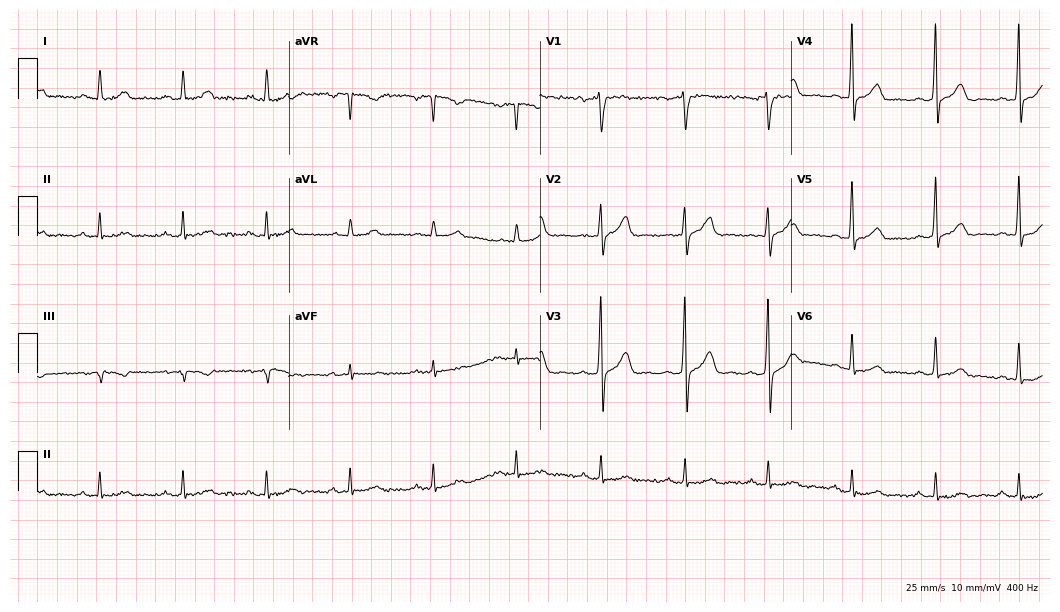
Electrocardiogram, a 60-year-old man. Overall reading on record: normal ECG.